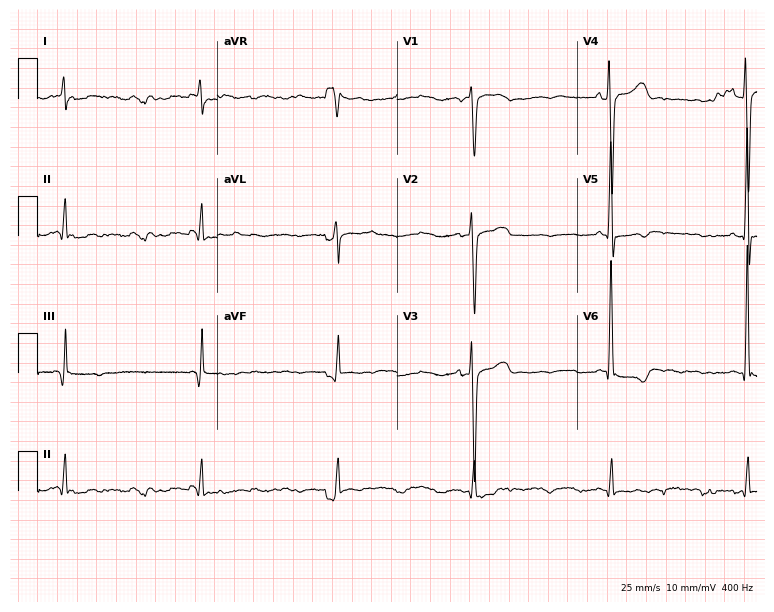
Electrocardiogram, a 59-year-old man. Interpretation includes sinus bradycardia (a sinus rate of 50 beats per minute or less).